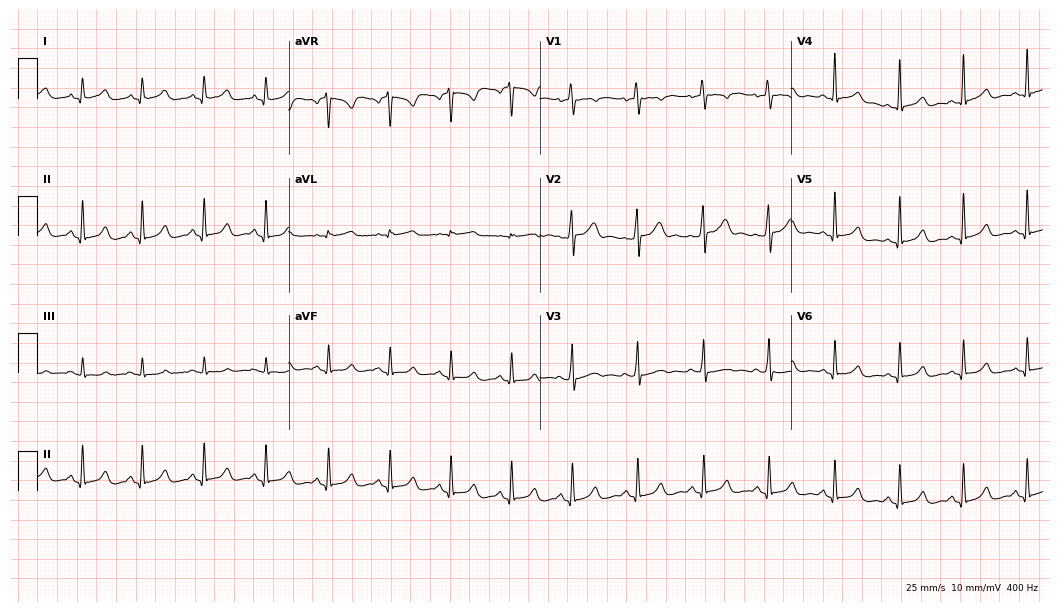
12-lead ECG (10.2-second recording at 400 Hz) from a female, 35 years old. Labelled as a normal ECG.